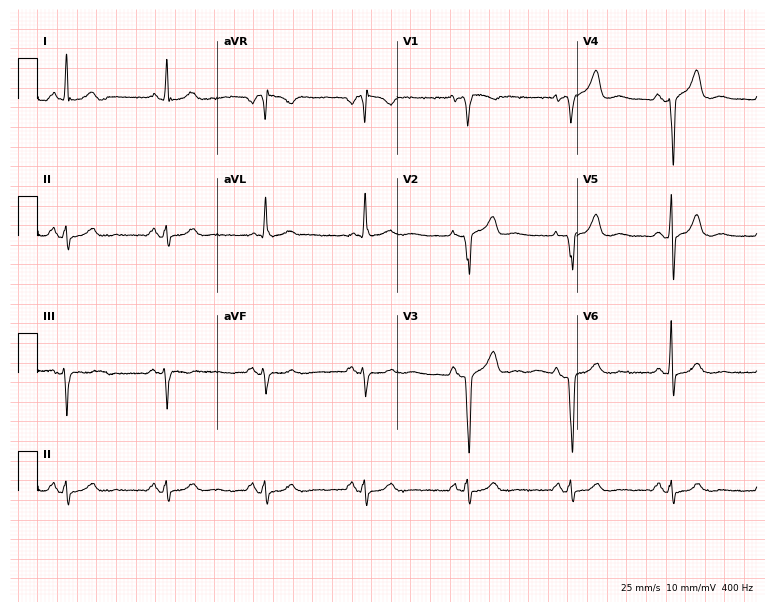
12-lead ECG from a 63-year-old man. Screened for six findings — first-degree AV block, right bundle branch block, left bundle branch block, sinus bradycardia, atrial fibrillation, sinus tachycardia — none is recorded. Findings outside these six are not listed.